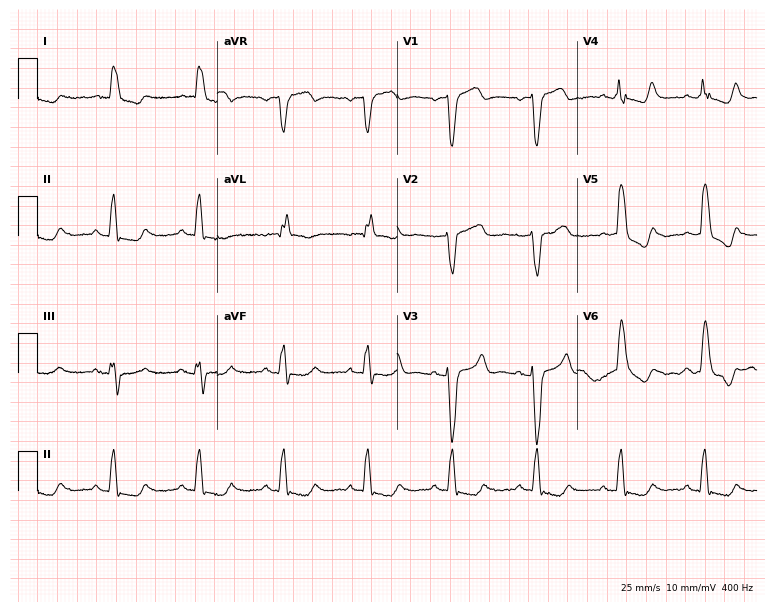
Electrocardiogram, a woman, 69 years old. Interpretation includes left bundle branch block (LBBB).